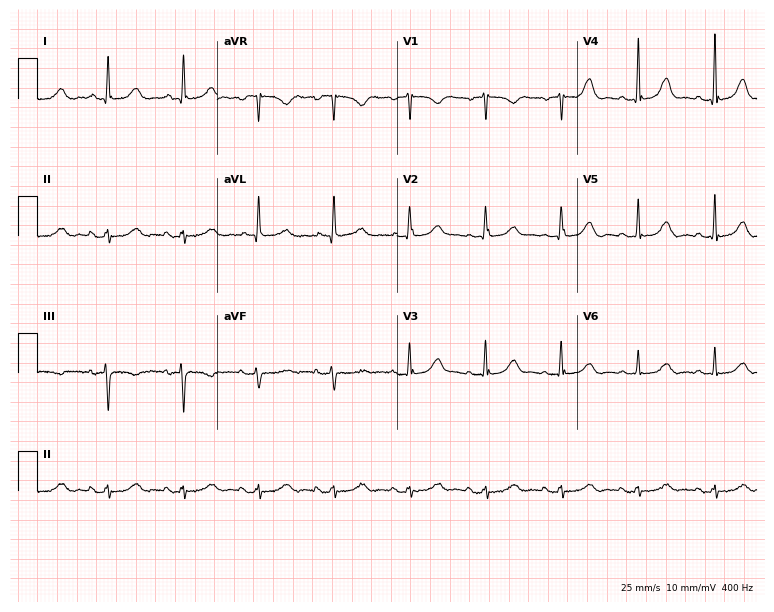
Electrocardiogram (7.3-second recording at 400 Hz), a female patient, 73 years old. Of the six screened findings (first-degree AV block, right bundle branch block, left bundle branch block, sinus bradycardia, atrial fibrillation, sinus tachycardia), none is recorded.